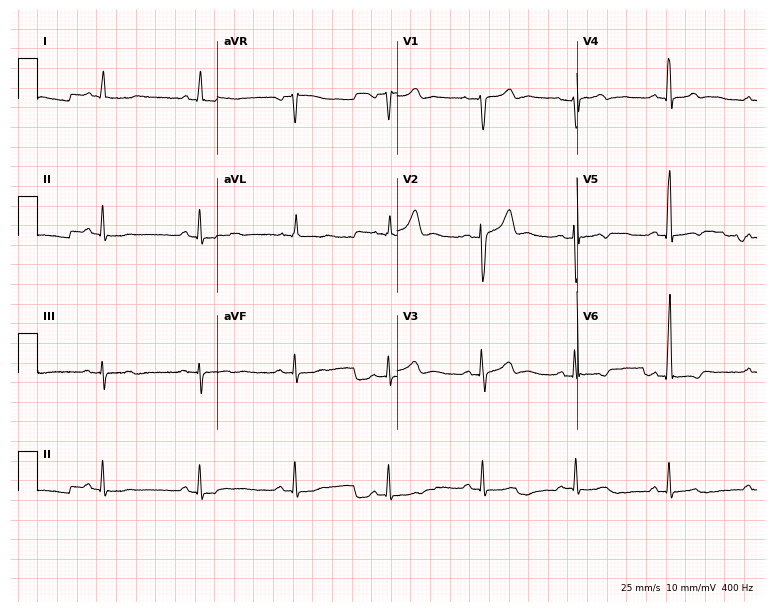
Electrocardiogram (7.3-second recording at 400 Hz), a 73-year-old man. Of the six screened findings (first-degree AV block, right bundle branch block, left bundle branch block, sinus bradycardia, atrial fibrillation, sinus tachycardia), none is recorded.